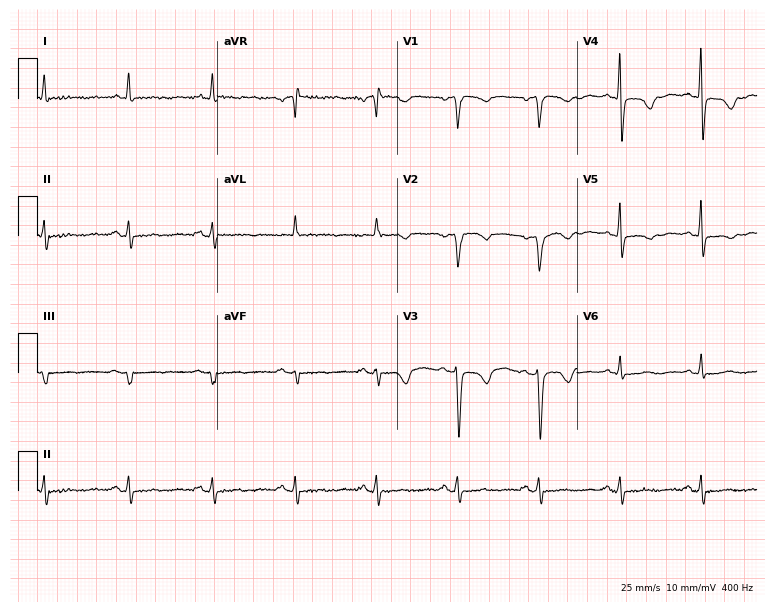
12-lead ECG (7.3-second recording at 400 Hz) from a 46-year-old female. Screened for six findings — first-degree AV block, right bundle branch block, left bundle branch block, sinus bradycardia, atrial fibrillation, sinus tachycardia — none is recorded.